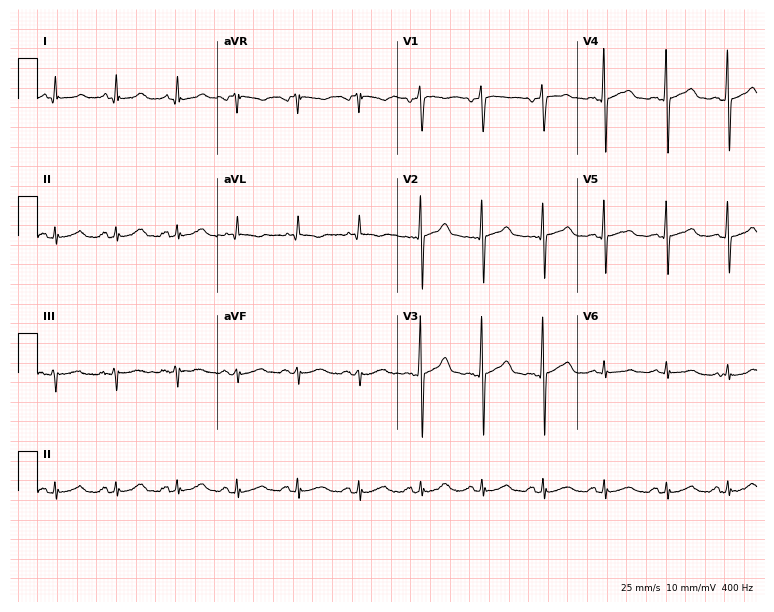
Electrocardiogram, a man, 39 years old. Of the six screened findings (first-degree AV block, right bundle branch block (RBBB), left bundle branch block (LBBB), sinus bradycardia, atrial fibrillation (AF), sinus tachycardia), none is recorded. Findings outside these six are not listed.